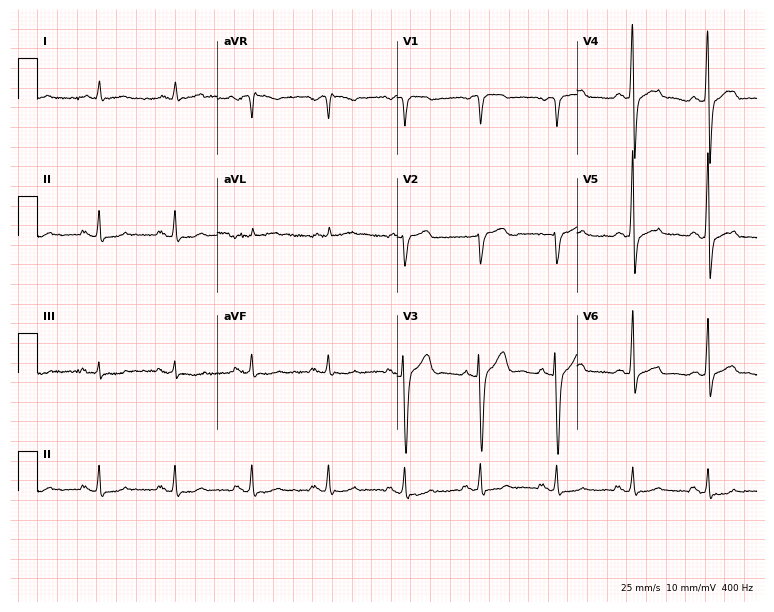
ECG — a male patient, 65 years old. Screened for six findings — first-degree AV block, right bundle branch block, left bundle branch block, sinus bradycardia, atrial fibrillation, sinus tachycardia — none is recorded.